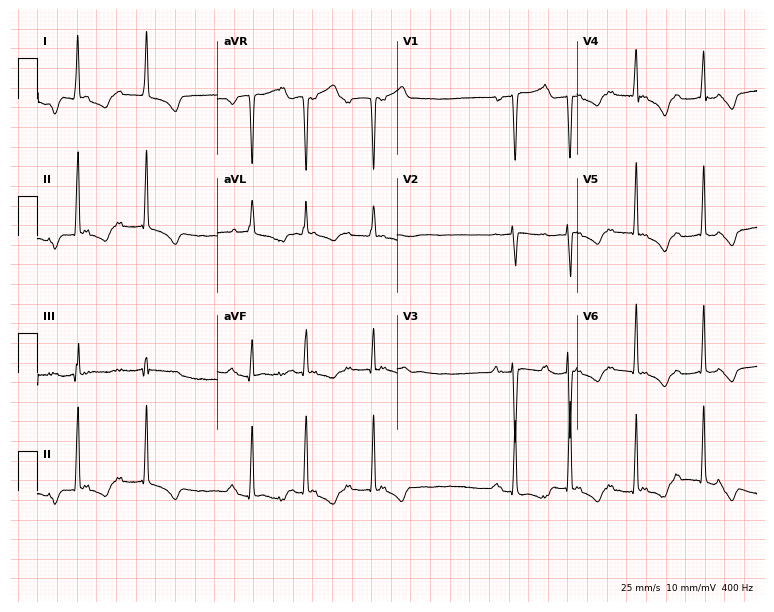
Resting 12-lead electrocardiogram. Patient: a 61-year-old woman. None of these six findings is recorded: first-degree AV block, right bundle branch block, left bundle branch block, sinus bradycardia, atrial fibrillation, sinus tachycardia.